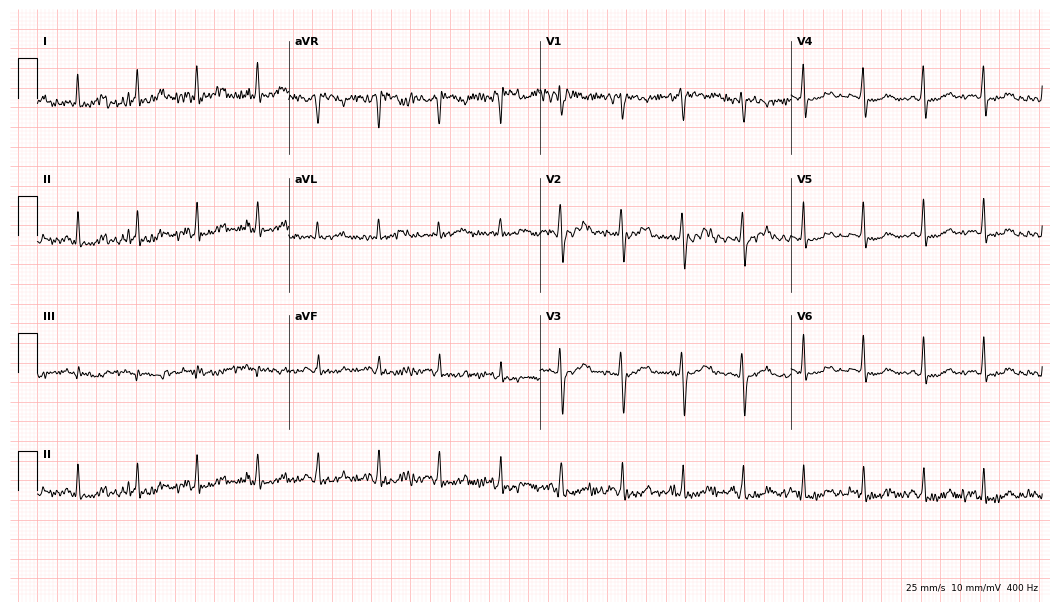
12-lead ECG from a female patient, 44 years old. Screened for six findings — first-degree AV block, right bundle branch block, left bundle branch block, sinus bradycardia, atrial fibrillation, sinus tachycardia — none is recorded.